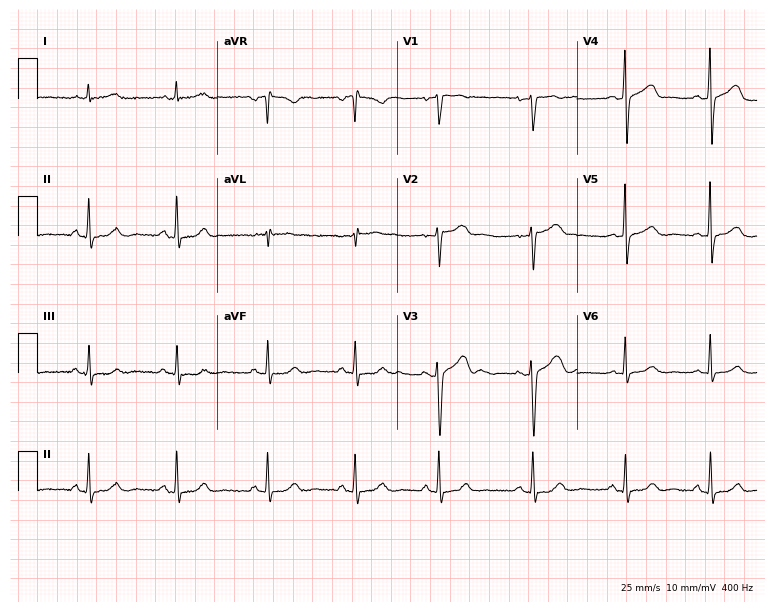
12-lead ECG from a 46-year-old female. No first-degree AV block, right bundle branch block, left bundle branch block, sinus bradycardia, atrial fibrillation or sinus tachycardia recorded for this tracing. Findings outside these six are not listed.